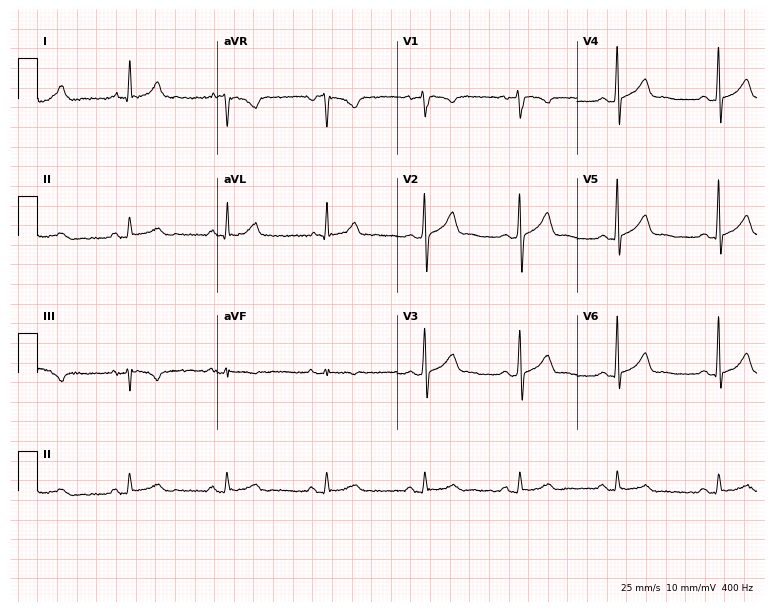
12-lead ECG from a man, 42 years old (7.3-second recording at 400 Hz). Recorded interpretation: within normal limits.